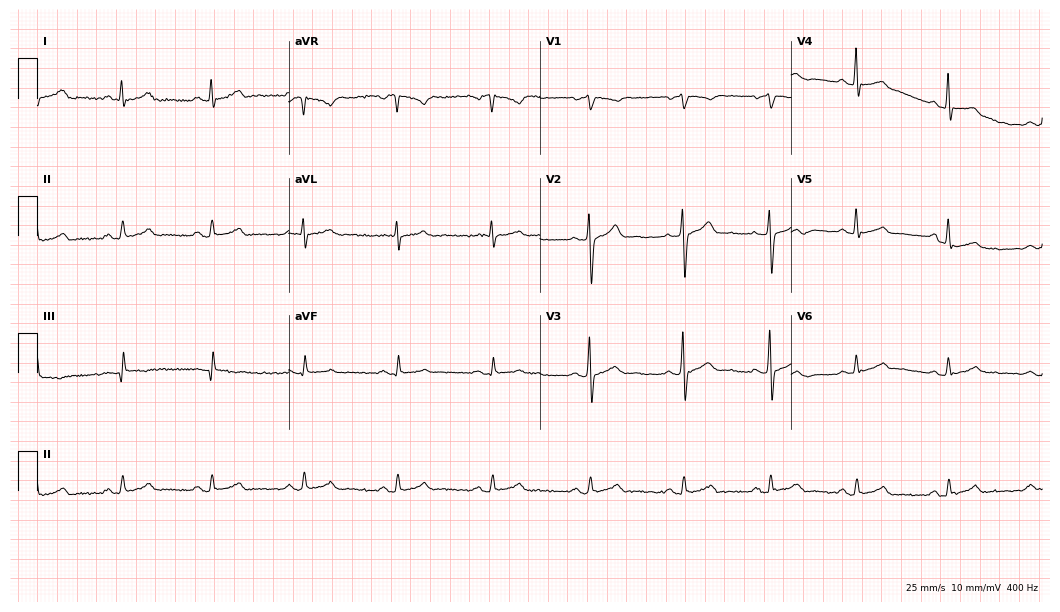
ECG (10.2-second recording at 400 Hz) — a 43-year-old male patient. Screened for six findings — first-degree AV block, right bundle branch block, left bundle branch block, sinus bradycardia, atrial fibrillation, sinus tachycardia — none is recorded. Only these six findings were labelled.